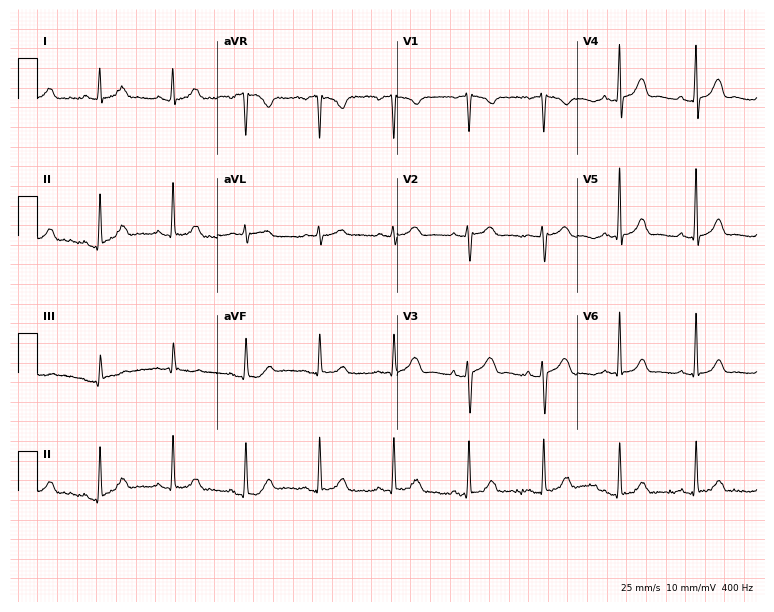
Resting 12-lead electrocardiogram. Patient: a female, 65 years old. Read as a normal ECG.